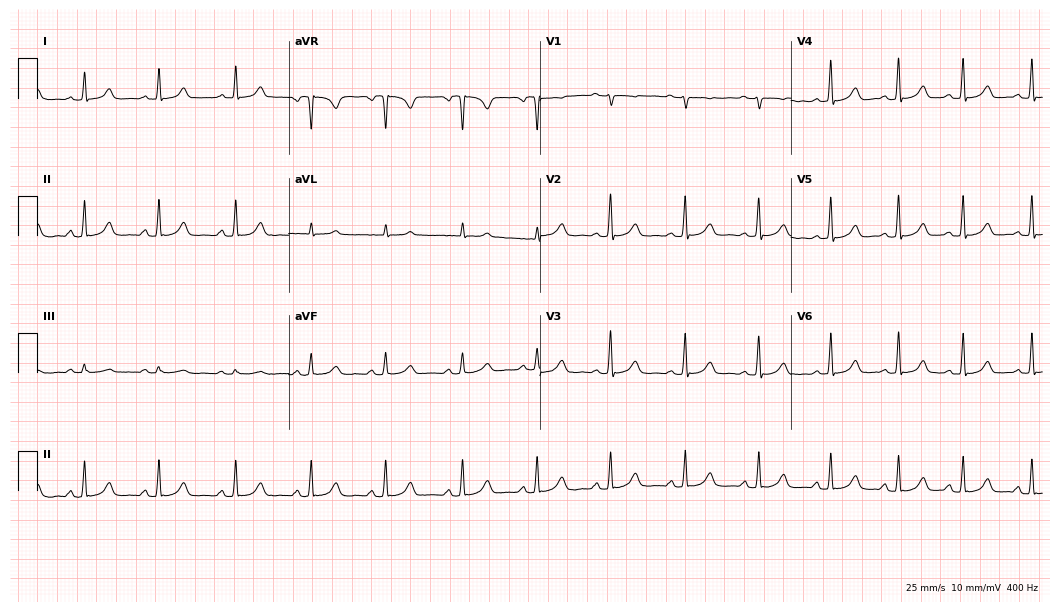
12-lead ECG from a woman, 25 years old (10.2-second recording at 400 Hz). No first-degree AV block, right bundle branch block, left bundle branch block, sinus bradycardia, atrial fibrillation or sinus tachycardia recorded for this tracing. Only these six findings were labelled.